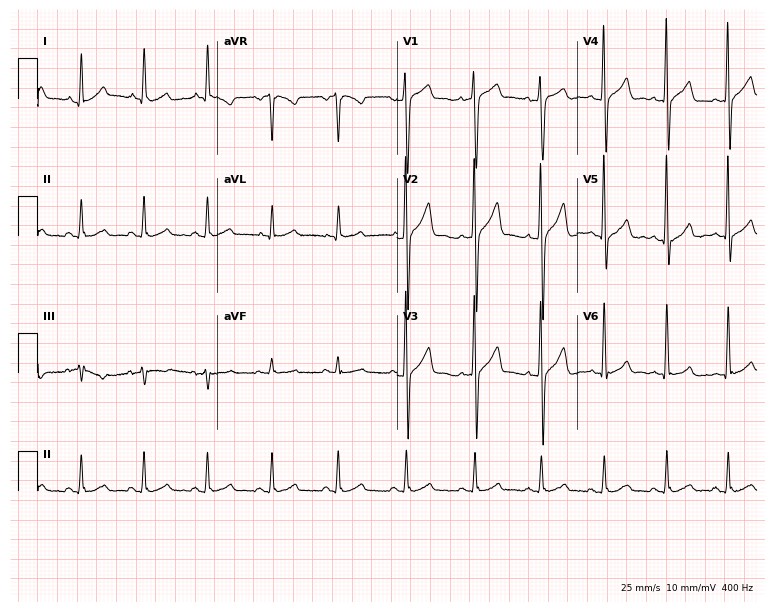
Standard 12-lead ECG recorded from a 49-year-old man. Read as a normal ECG.